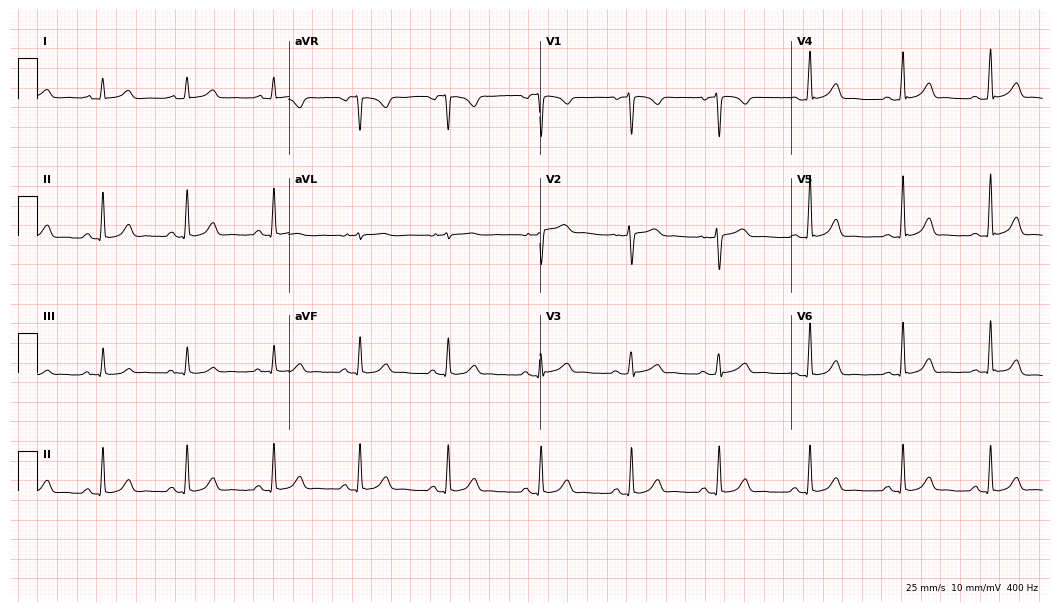
ECG — a 28-year-old female patient. Labelled as a normal ECG.